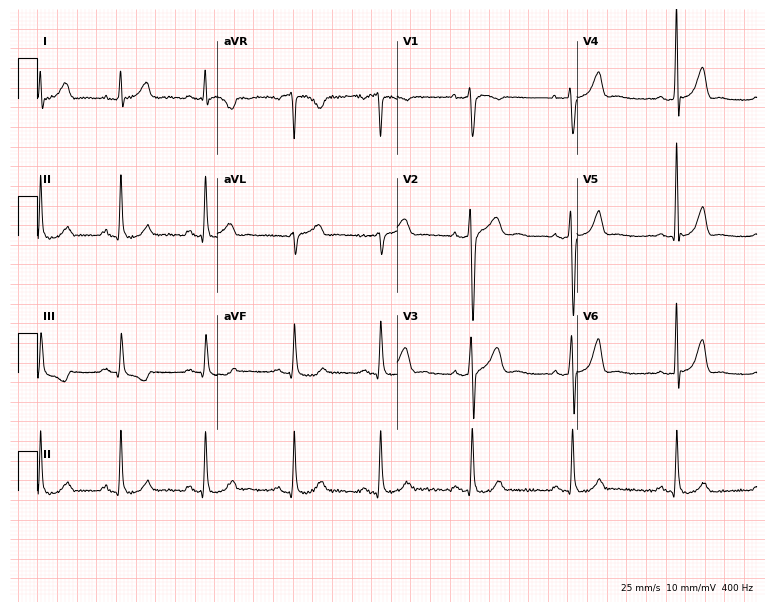
Resting 12-lead electrocardiogram. Patient: a 38-year-old male. None of these six findings is recorded: first-degree AV block, right bundle branch block, left bundle branch block, sinus bradycardia, atrial fibrillation, sinus tachycardia.